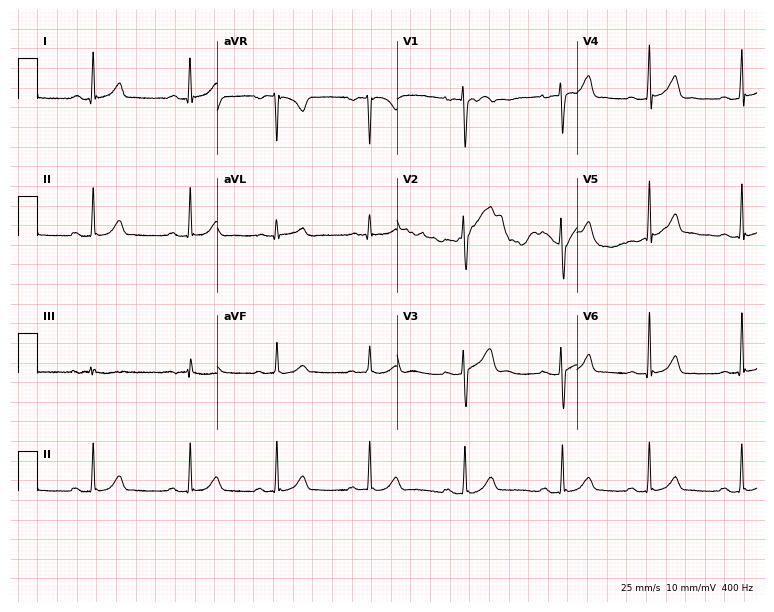
Resting 12-lead electrocardiogram (7.3-second recording at 400 Hz). Patient: a female, 29 years old. Read as a normal ECG.